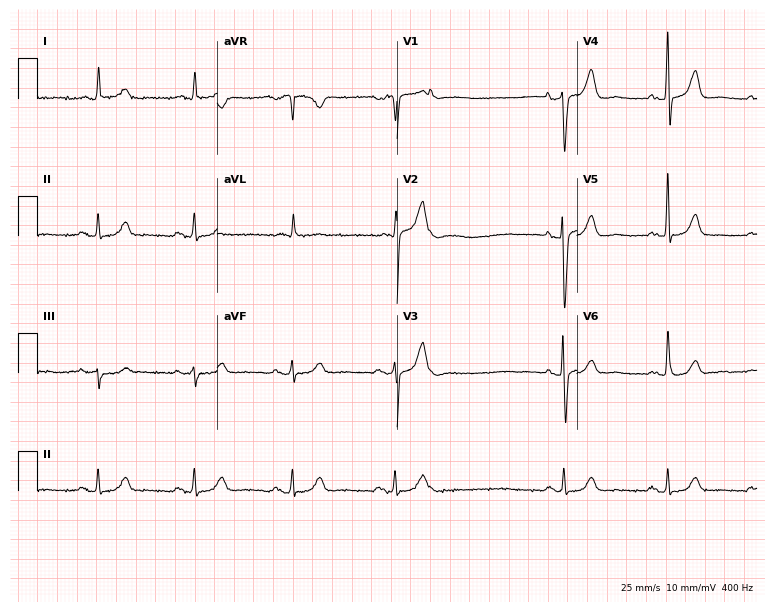
Standard 12-lead ECG recorded from an 80-year-old male patient (7.3-second recording at 400 Hz). None of these six findings is recorded: first-degree AV block, right bundle branch block, left bundle branch block, sinus bradycardia, atrial fibrillation, sinus tachycardia. Findings outside these six are not listed.